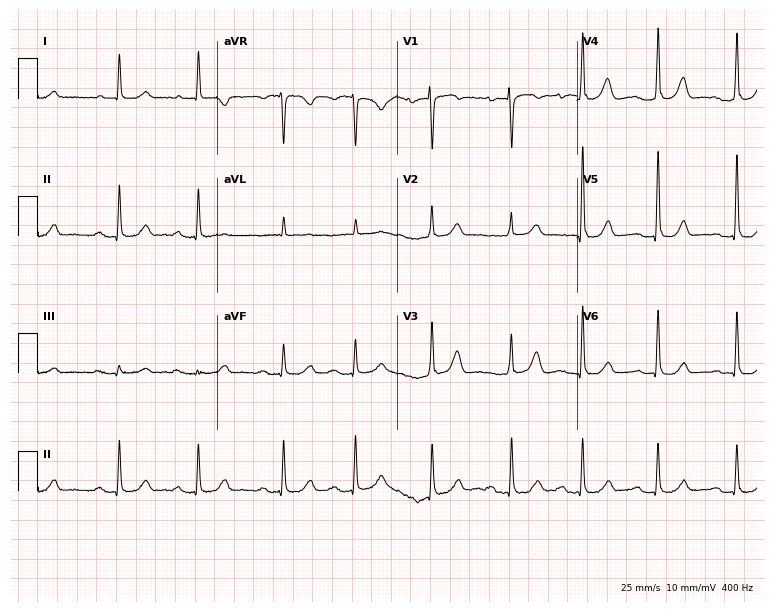
Resting 12-lead electrocardiogram (7.3-second recording at 400 Hz). Patient: an 84-year-old female. The tracing shows first-degree AV block.